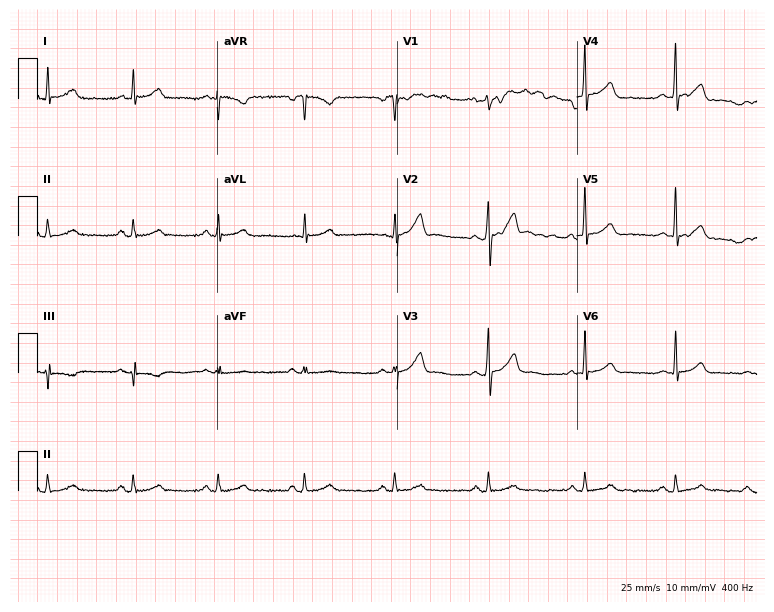
12-lead ECG (7.3-second recording at 400 Hz) from a 46-year-old male. Labelled as a normal ECG.